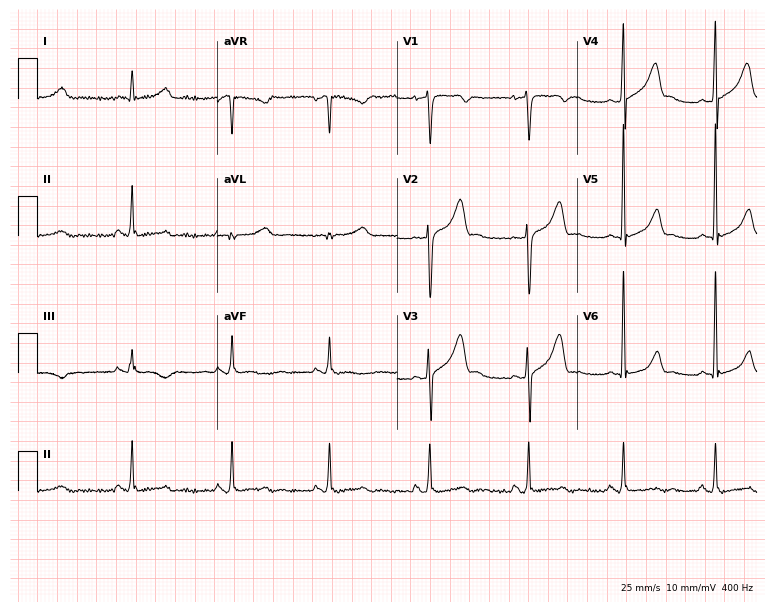
Standard 12-lead ECG recorded from a man, 25 years old. Read as a normal ECG.